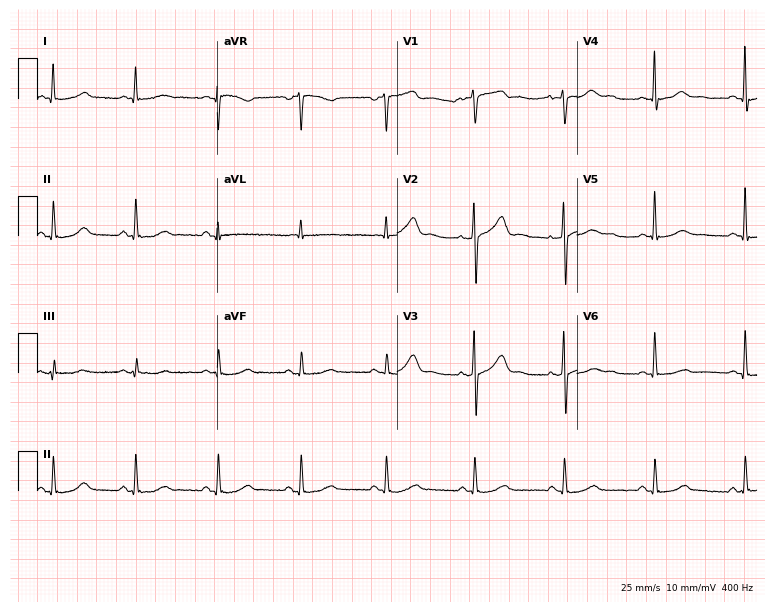
ECG (7.3-second recording at 400 Hz) — a woman, 58 years old. Labelled as a normal ECG.